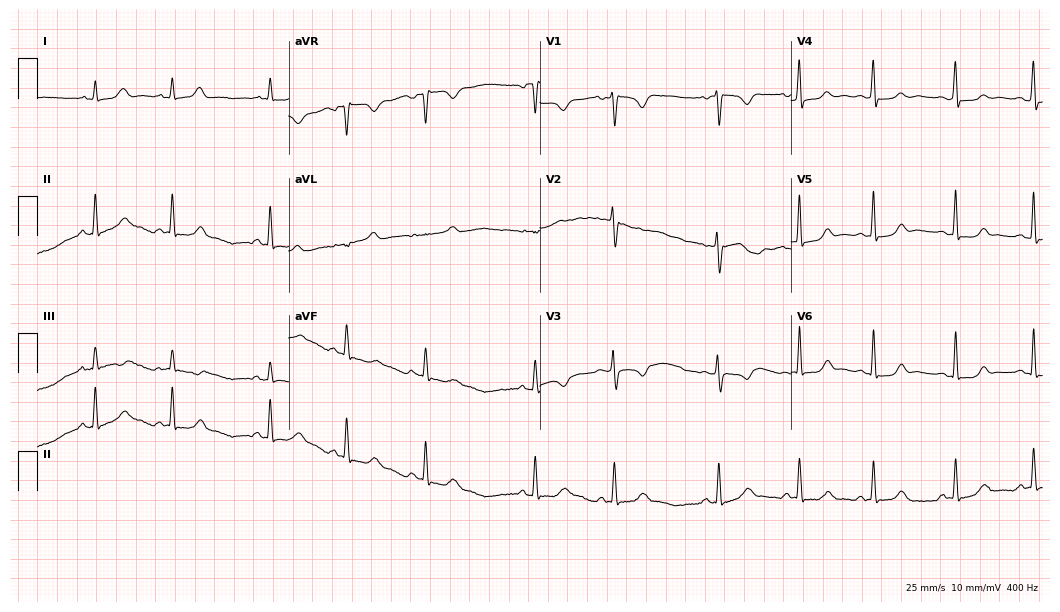
Resting 12-lead electrocardiogram. Patient: a 23-year-old woman. Read as a normal ECG.